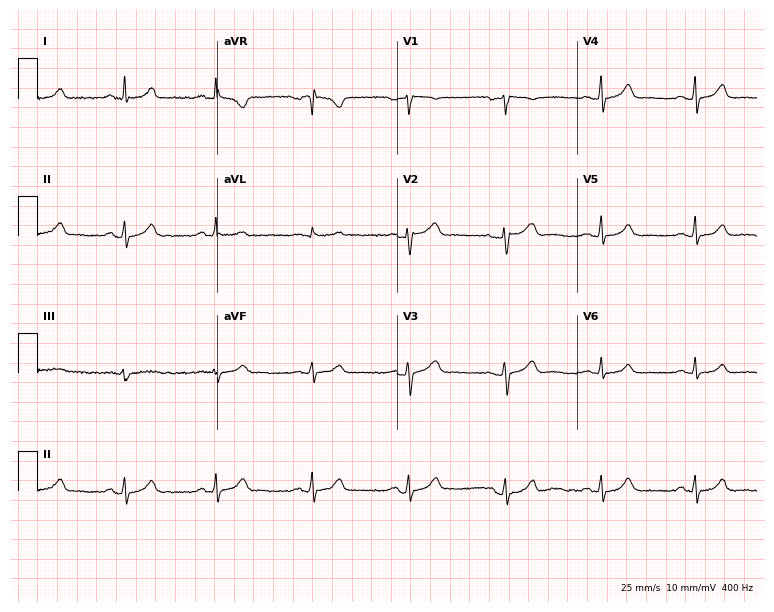
Standard 12-lead ECG recorded from a 48-year-old female (7.3-second recording at 400 Hz). Read as a normal ECG.